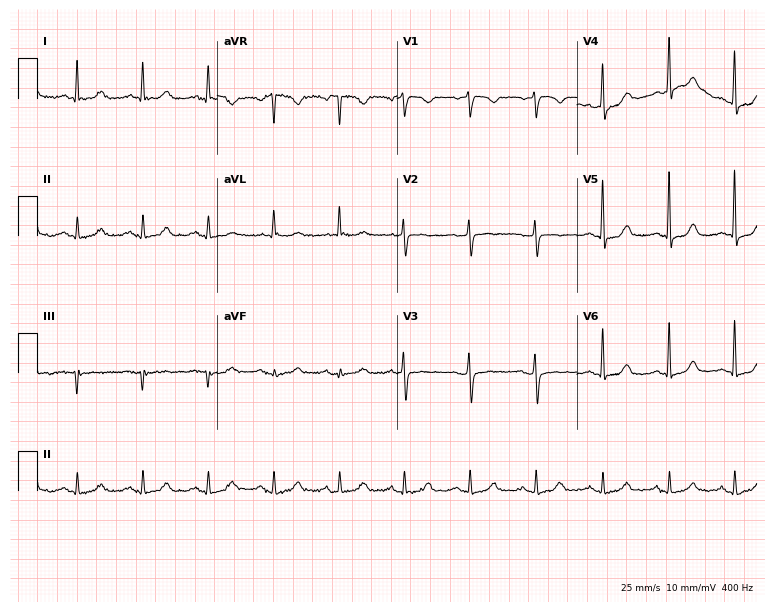
ECG (7.3-second recording at 400 Hz) — a 67-year-old woman. Labelled as a normal ECG.